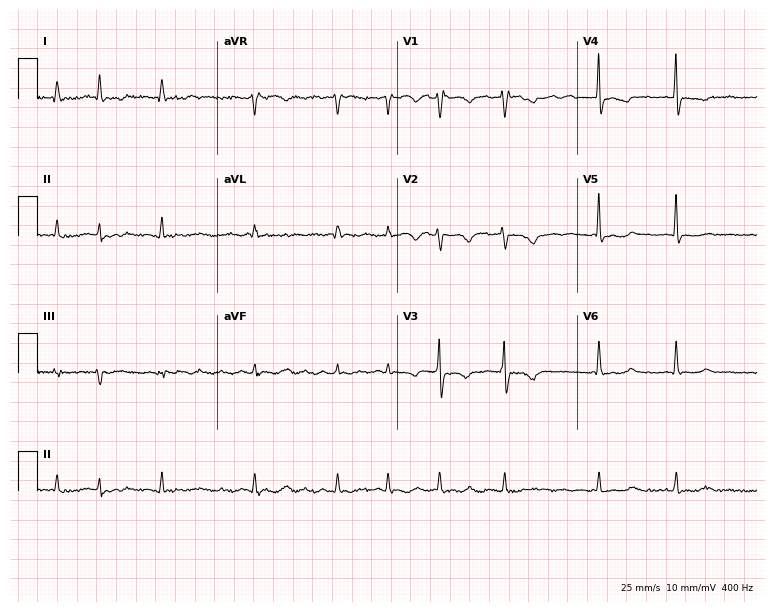
ECG — a female patient, 68 years old. Findings include atrial fibrillation (AF).